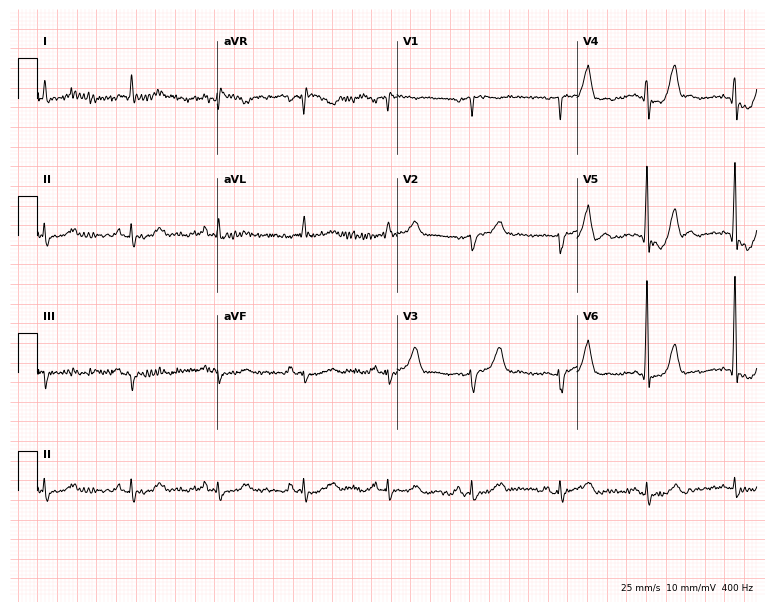
12-lead ECG (7.3-second recording at 400 Hz) from a 65-year-old man. Screened for six findings — first-degree AV block, right bundle branch block (RBBB), left bundle branch block (LBBB), sinus bradycardia, atrial fibrillation (AF), sinus tachycardia — none is recorded.